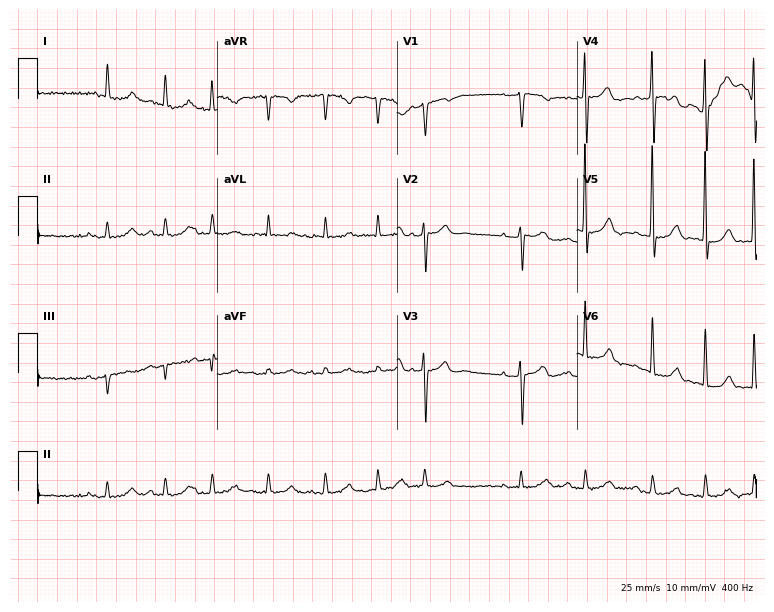
Electrocardiogram, a female patient, 82 years old. Of the six screened findings (first-degree AV block, right bundle branch block (RBBB), left bundle branch block (LBBB), sinus bradycardia, atrial fibrillation (AF), sinus tachycardia), none is recorded.